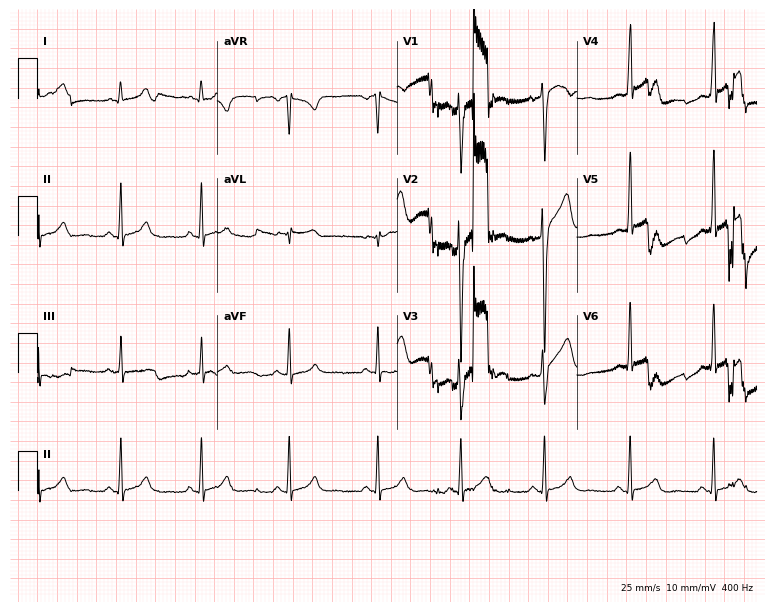
Electrocardiogram (7.3-second recording at 400 Hz), a man, 28 years old. Of the six screened findings (first-degree AV block, right bundle branch block, left bundle branch block, sinus bradycardia, atrial fibrillation, sinus tachycardia), none is recorded.